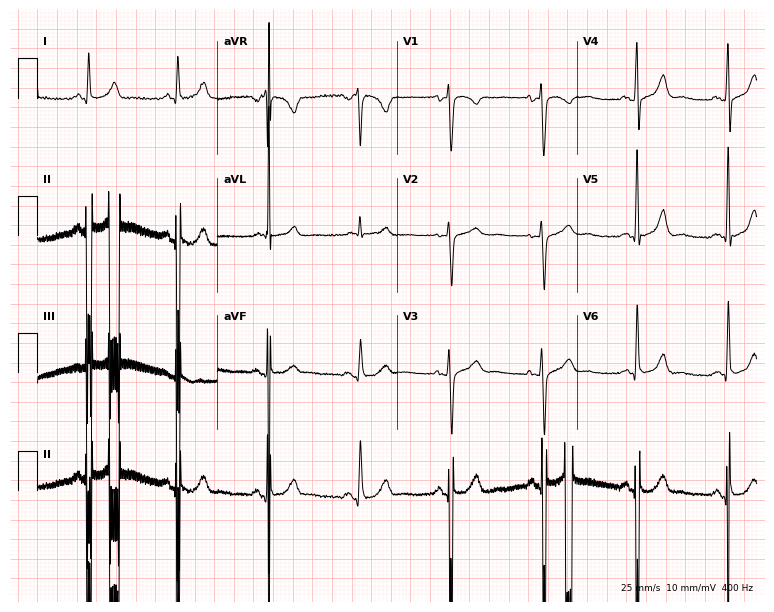
Standard 12-lead ECG recorded from a 67-year-old female (7.3-second recording at 400 Hz). None of these six findings is recorded: first-degree AV block, right bundle branch block, left bundle branch block, sinus bradycardia, atrial fibrillation, sinus tachycardia.